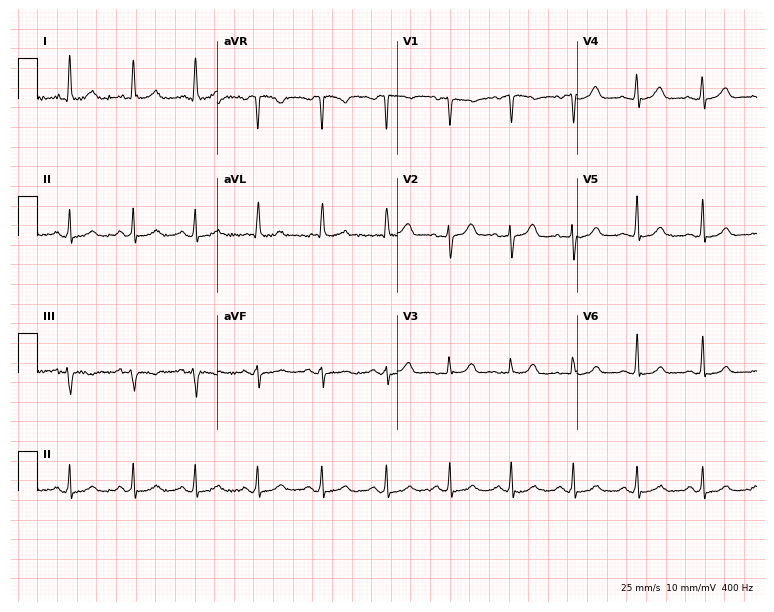
Electrocardiogram, a female patient, 51 years old. Overall reading on record: normal ECG.